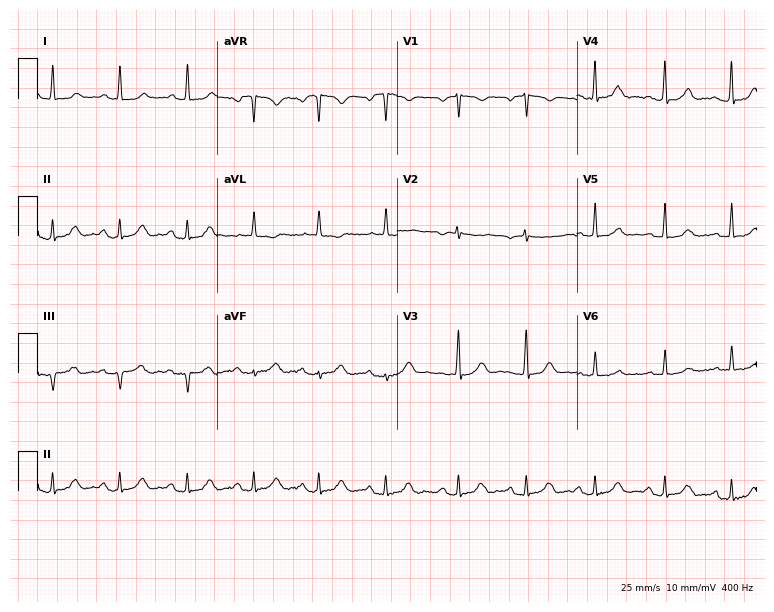
12-lead ECG from a 41-year-old woman. Screened for six findings — first-degree AV block, right bundle branch block, left bundle branch block, sinus bradycardia, atrial fibrillation, sinus tachycardia — none is recorded.